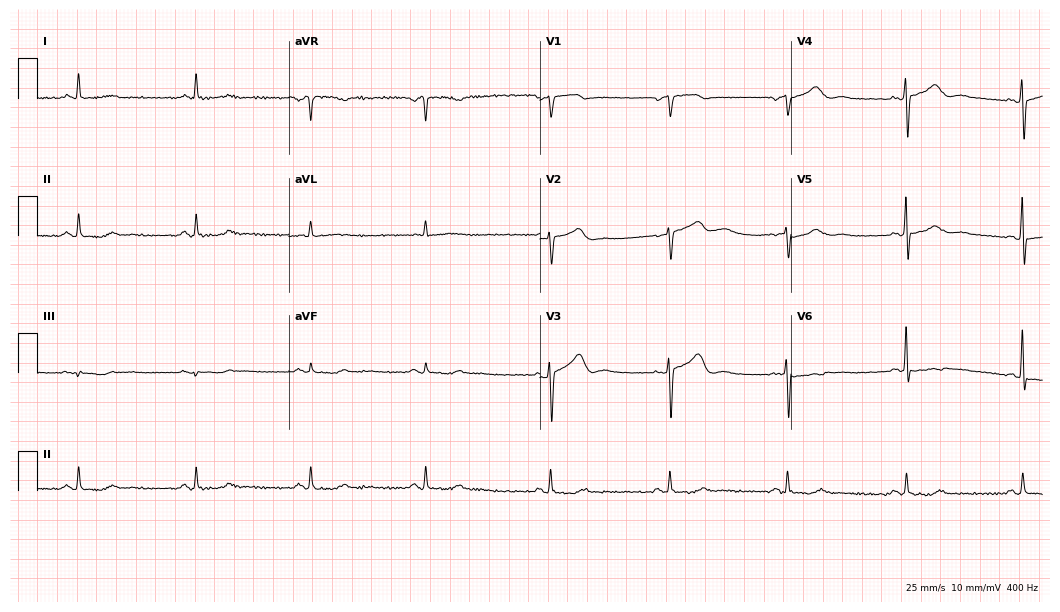
12-lead ECG from a female, 43 years old. Labelled as a normal ECG.